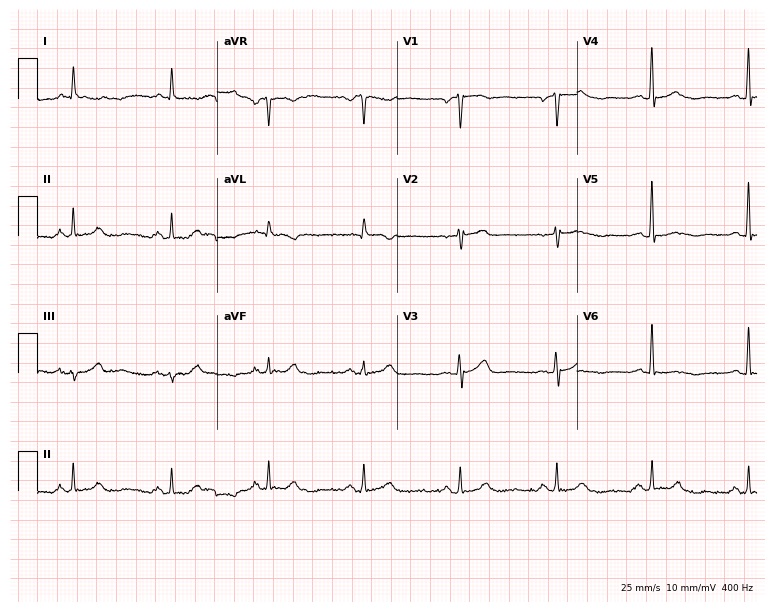
12-lead ECG from a male, 70 years old (7.3-second recording at 400 Hz). No first-degree AV block, right bundle branch block (RBBB), left bundle branch block (LBBB), sinus bradycardia, atrial fibrillation (AF) or sinus tachycardia recorded for this tracing.